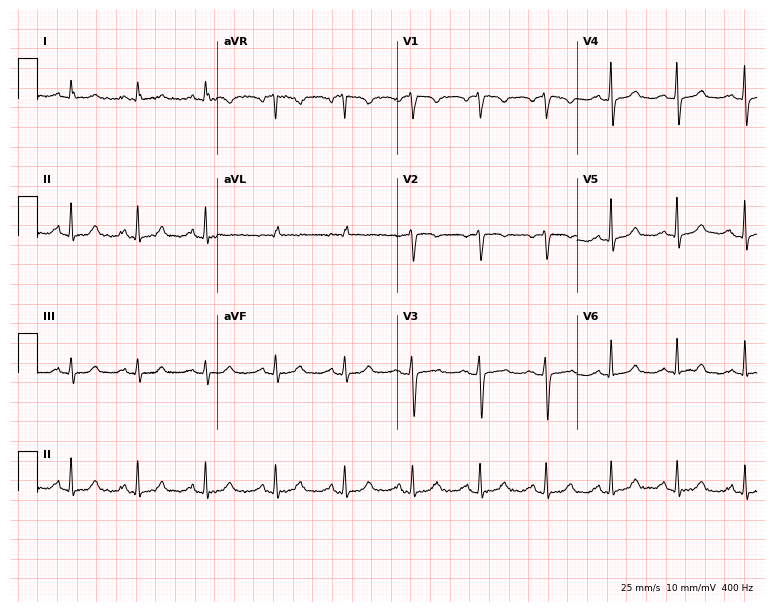
ECG (7.3-second recording at 400 Hz) — a female, 62 years old. Labelled as a normal ECG.